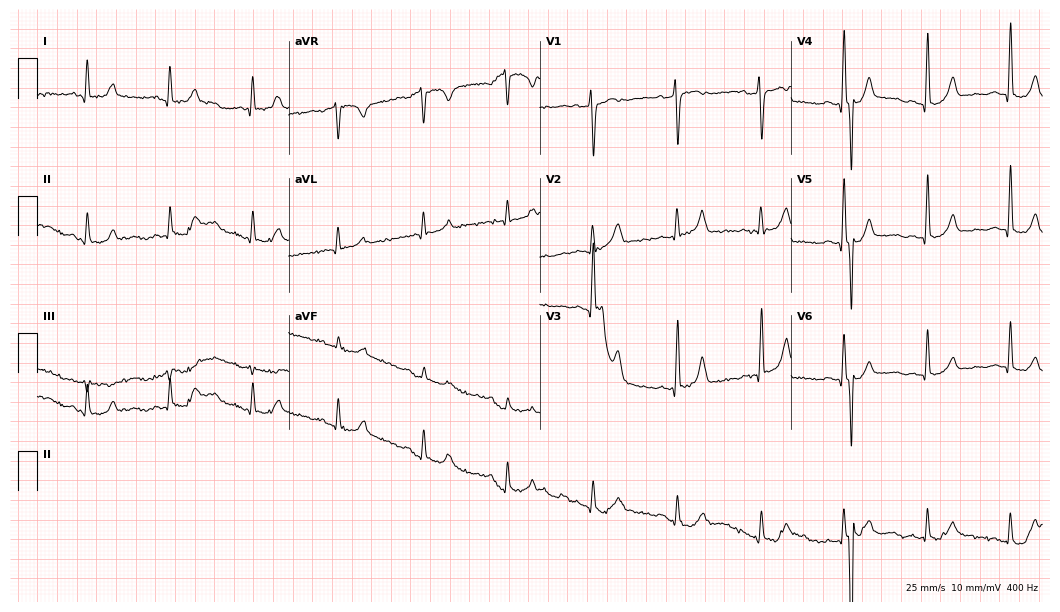
Electrocardiogram, an 83-year-old female. Of the six screened findings (first-degree AV block, right bundle branch block, left bundle branch block, sinus bradycardia, atrial fibrillation, sinus tachycardia), none is recorded. Only these six findings were labelled.